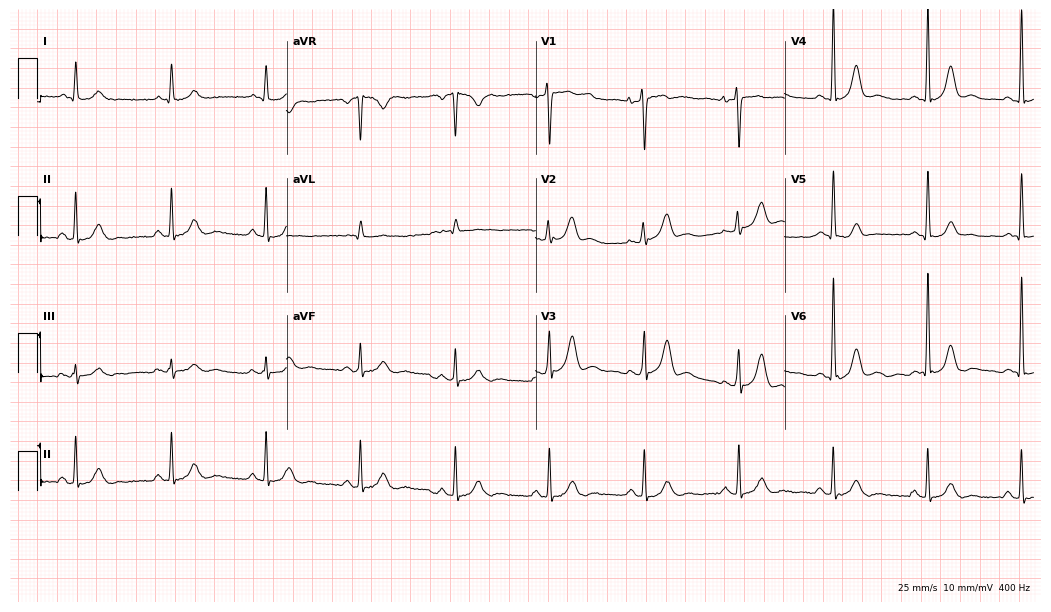
12-lead ECG from a female patient, 64 years old (10.2-second recording at 400 Hz). Recorded interpretation: within normal limits.